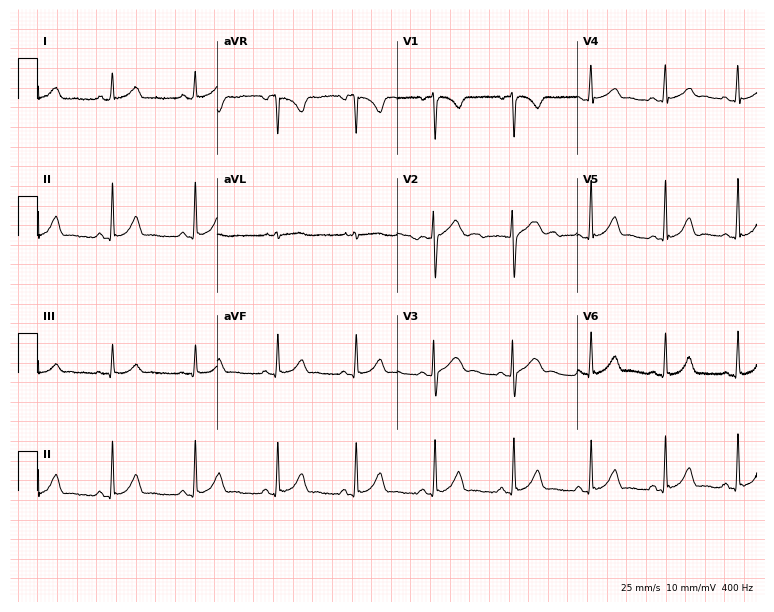
Electrocardiogram, a female, 27 years old. Overall reading on record: normal ECG.